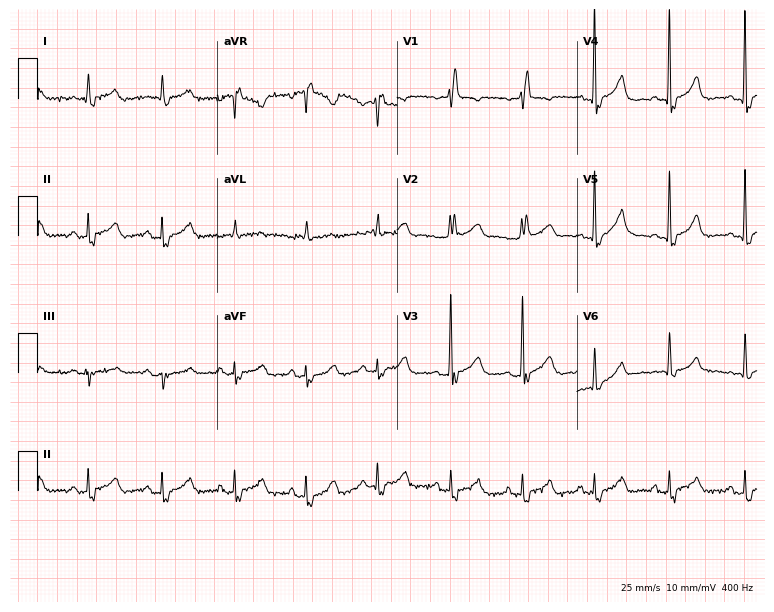
12-lead ECG from a female patient, 62 years old. No first-degree AV block, right bundle branch block, left bundle branch block, sinus bradycardia, atrial fibrillation or sinus tachycardia recorded for this tracing.